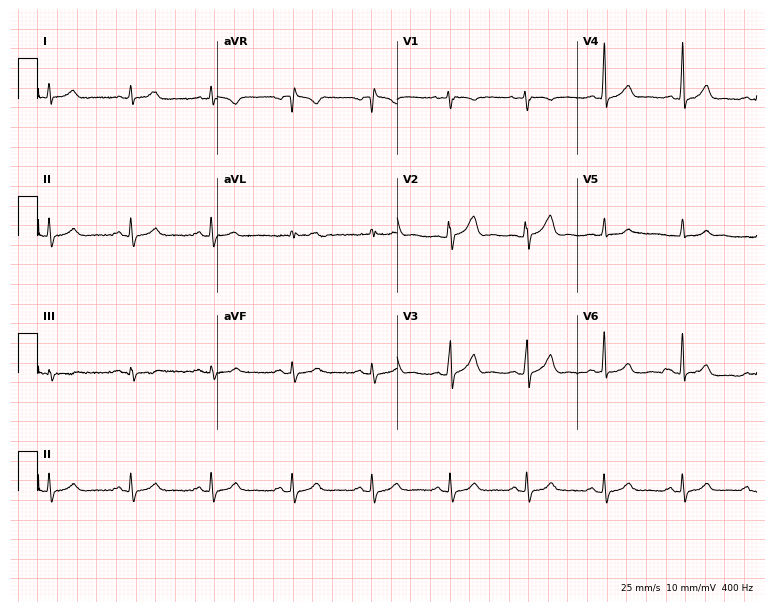
Standard 12-lead ECG recorded from a male, 77 years old (7.3-second recording at 400 Hz). None of these six findings is recorded: first-degree AV block, right bundle branch block, left bundle branch block, sinus bradycardia, atrial fibrillation, sinus tachycardia. Only these six findings were labelled.